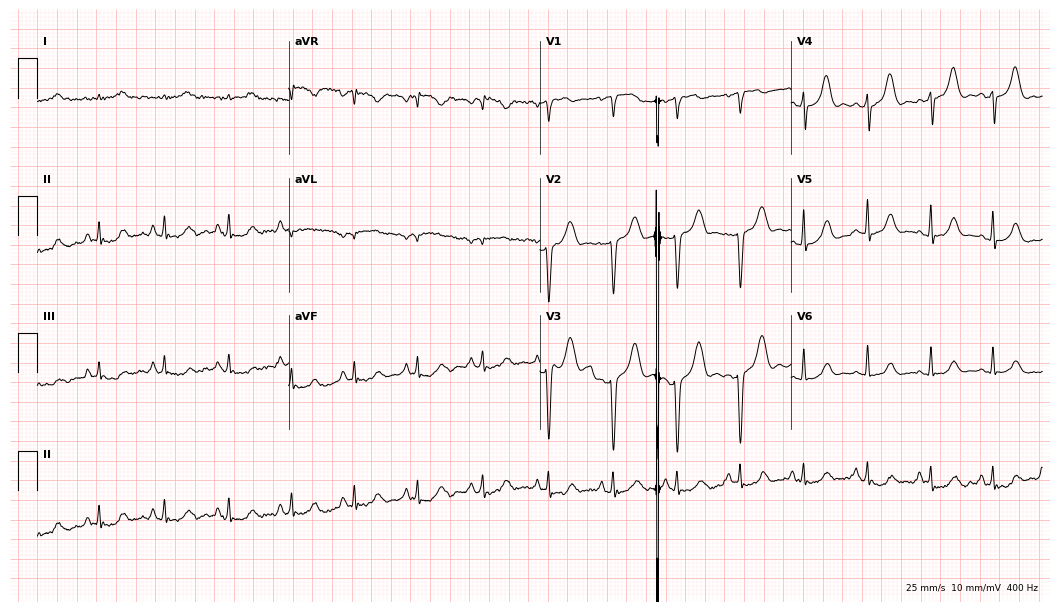
Electrocardiogram, a female patient, 68 years old. Of the six screened findings (first-degree AV block, right bundle branch block, left bundle branch block, sinus bradycardia, atrial fibrillation, sinus tachycardia), none is recorded.